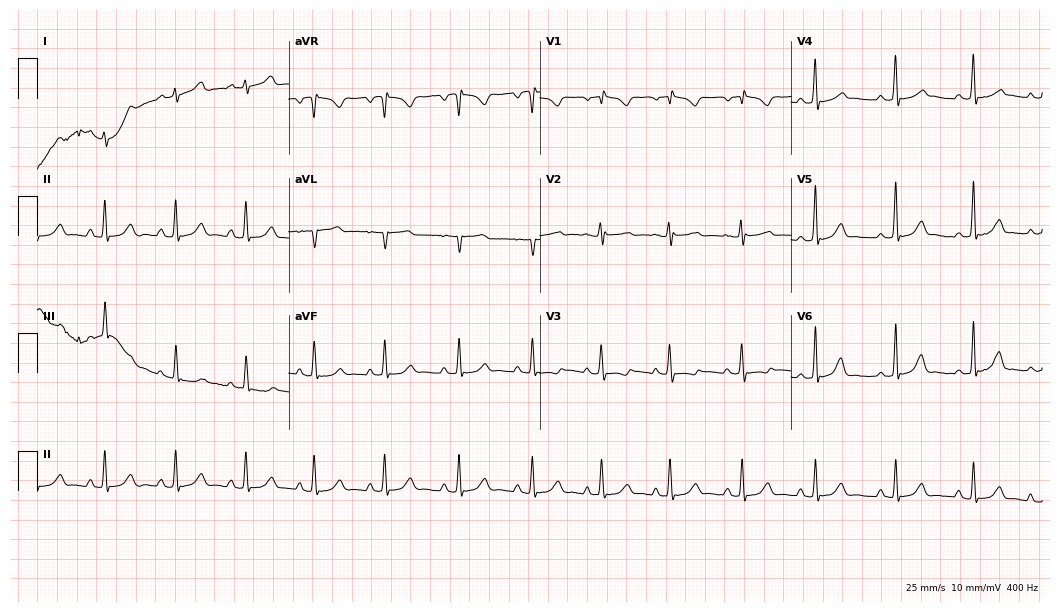
12-lead ECG (10.2-second recording at 400 Hz) from a 28-year-old woman. Labelled as a normal ECG.